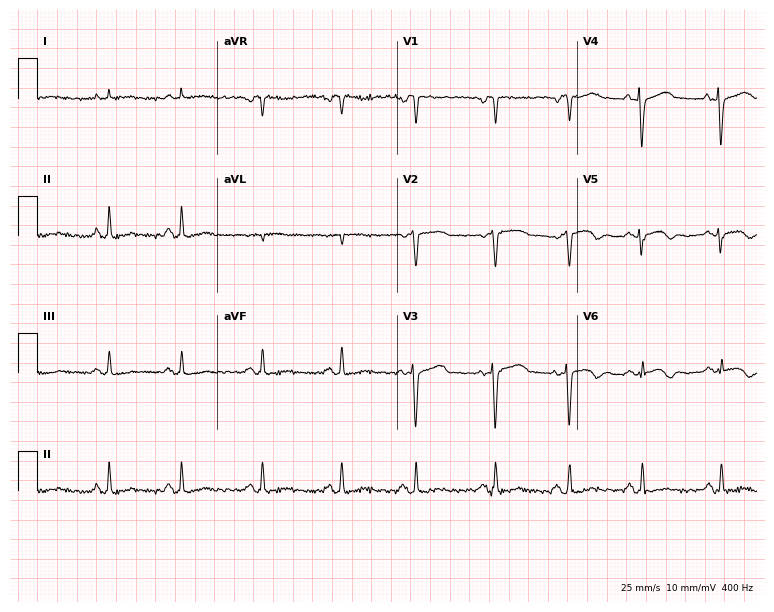
Standard 12-lead ECG recorded from a 67-year-old female. None of these six findings is recorded: first-degree AV block, right bundle branch block, left bundle branch block, sinus bradycardia, atrial fibrillation, sinus tachycardia. Other findings, if any, are not listed.